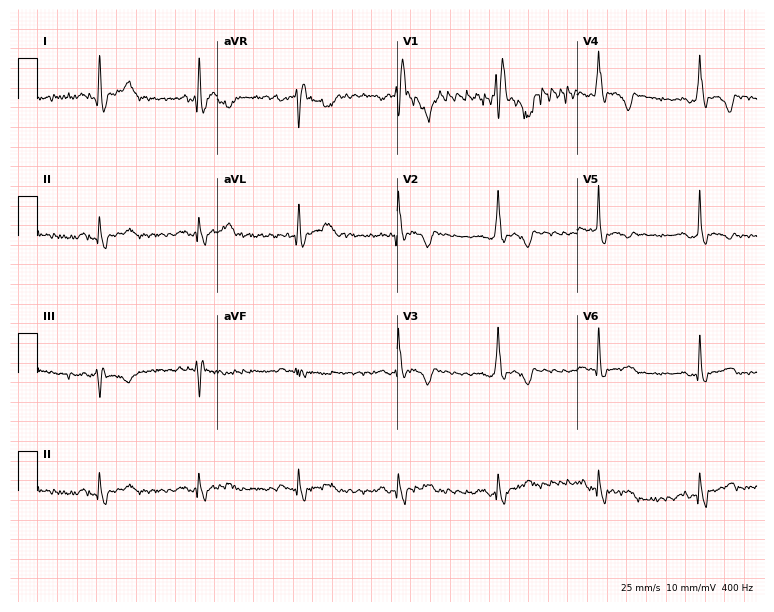
12-lead ECG from a 39-year-old male patient. Shows right bundle branch block.